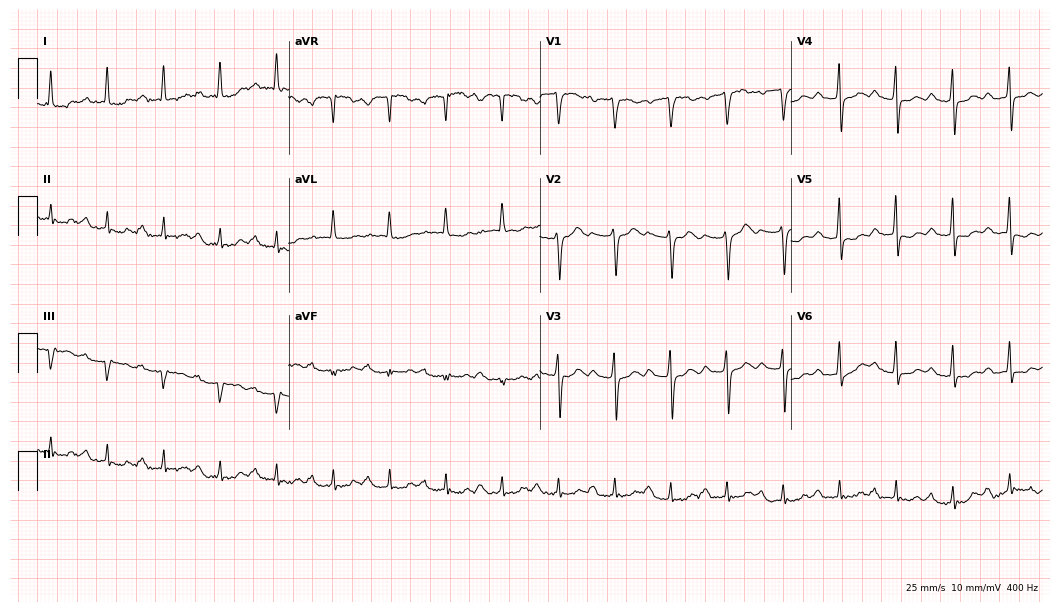
Electrocardiogram (10.2-second recording at 400 Hz), a 73-year-old female patient. Of the six screened findings (first-degree AV block, right bundle branch block, left bundle branch block, sinus bradycardia, atrial fibrillation, sinus tachycardia), none is recorded.